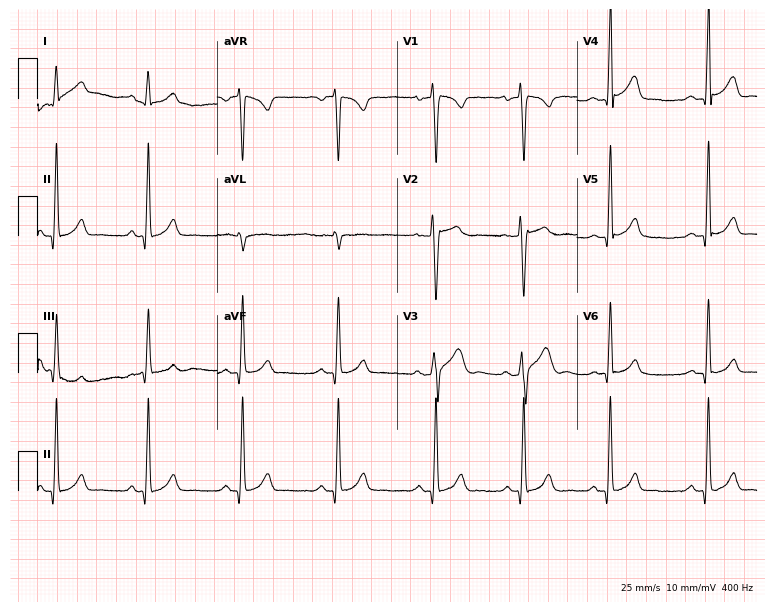
Electrocardiogram, a 20-year-old male. Overall reading on record: normal ECG.